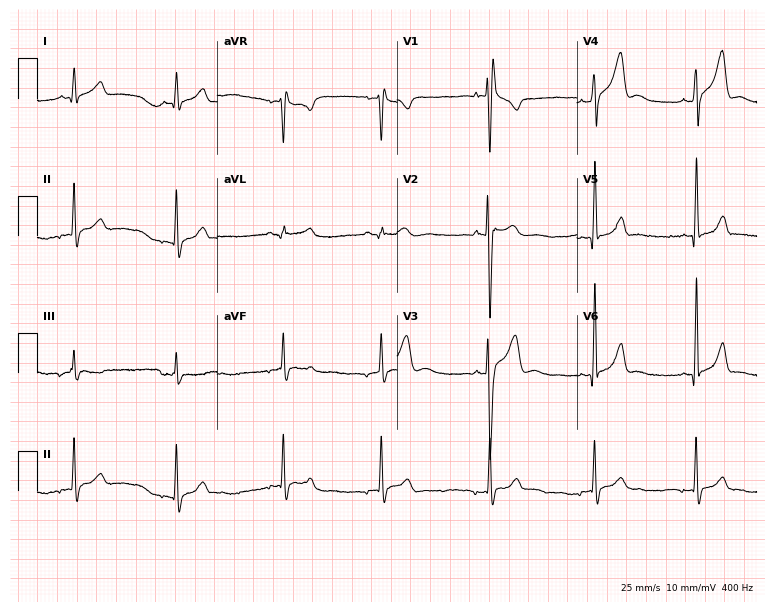
12-lead ECG from a 24-year-old man. No first-degree AV block, right bundle branch block (RBBB), left bundle branch block (LBBB), sinus bradycardia, atrial fibrillation (AF) or sinus tachycardia recorded for this tracing.